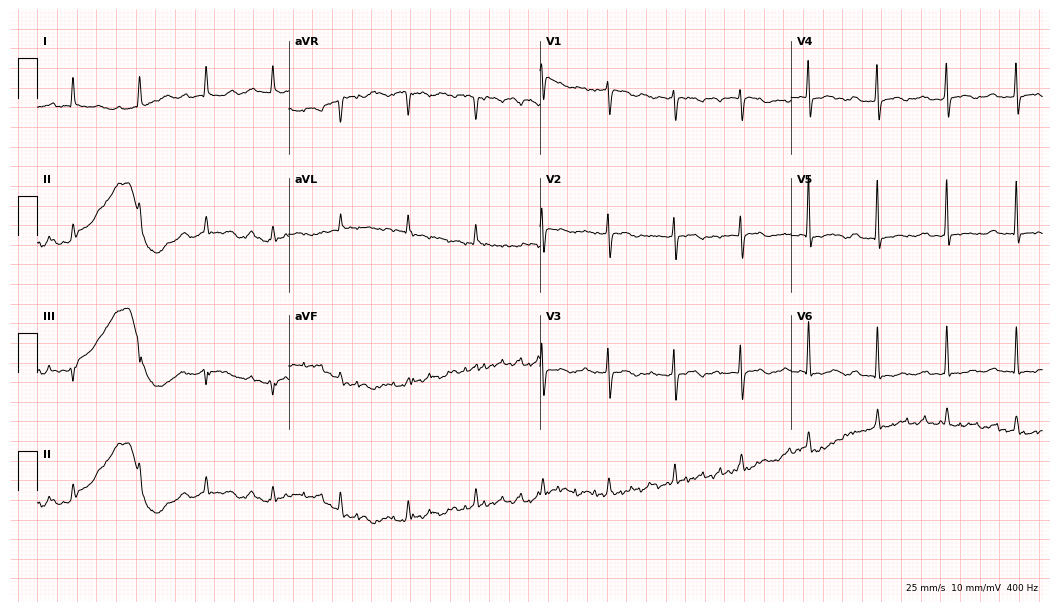
12-lead ECG from an 84-year-old female (10.2-second recording at 400 Hz). Shows first-degree AV block.